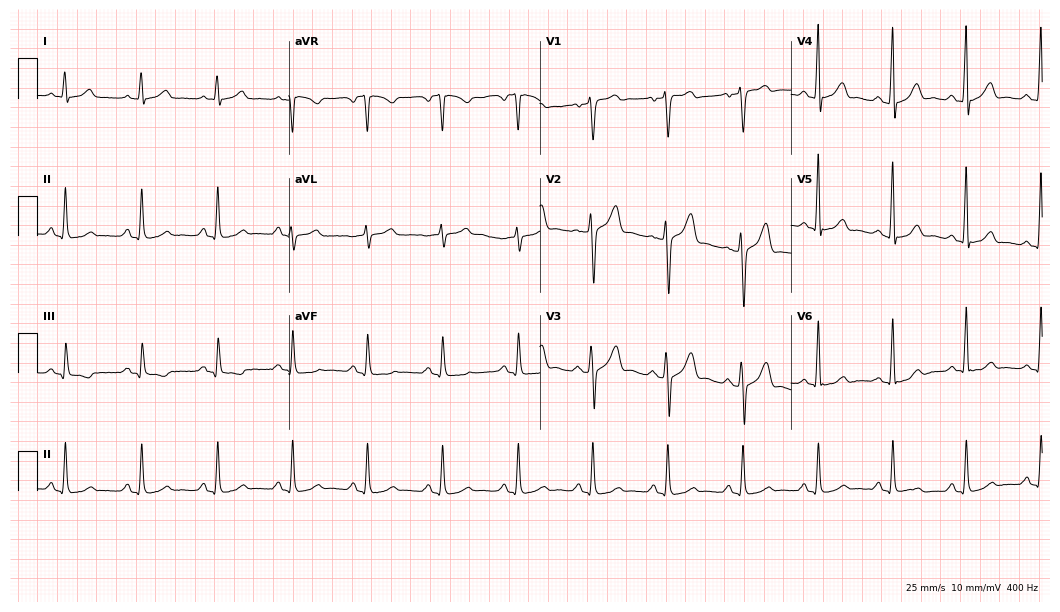
Electrocardiogram, a male patient, 47 years old. Overall reading on record: normal ECG.